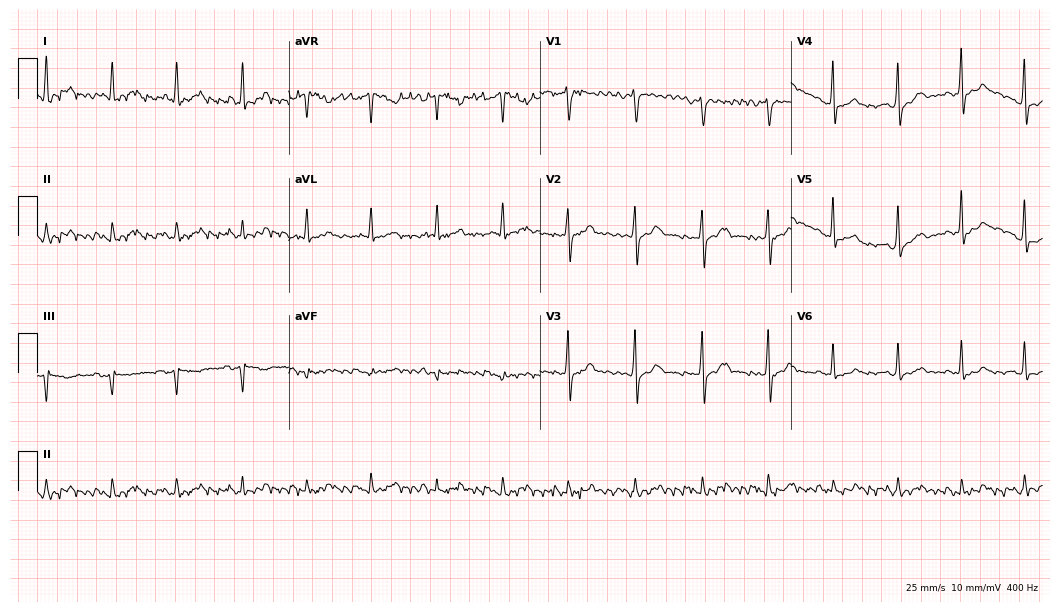
ECG — a 50-year-old woman. Screened for six findings — first-degree AV block, right bundle branch block (RBBB), left bundle branch block (LBBB), sinus bradycardia, atrial fibrillation (AF), sinus tachycardia — none is recorded.